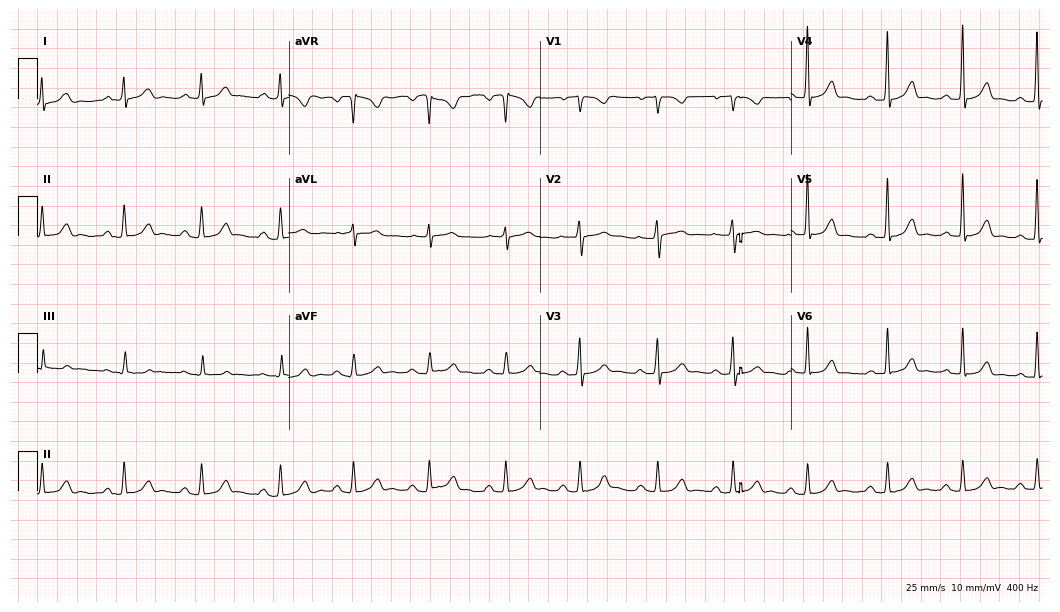
Standard 12-lead ECG recorded from a female, 24 years old. Read as a normal ECG.